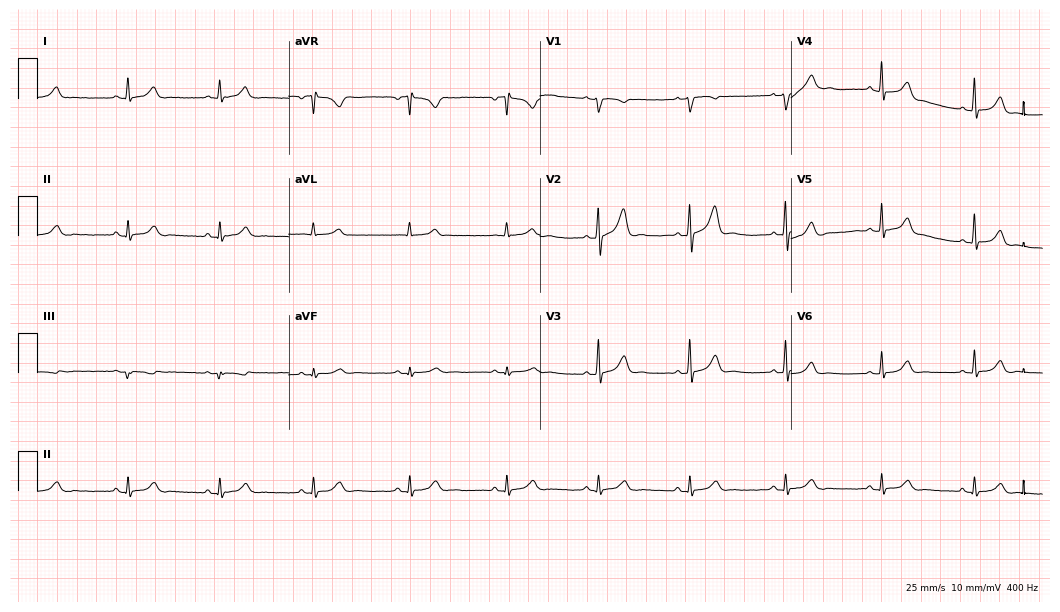
Resting 12-lead electrocardiogram (10.2-second recording at 400 Hz). Patient: a female, 45 years old. Read as a normal ECG.